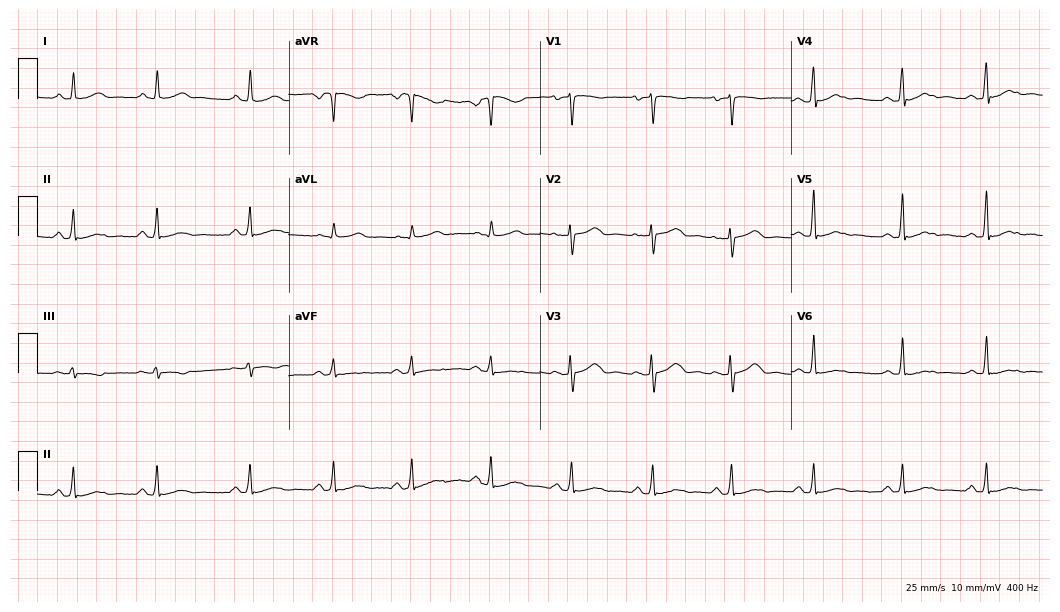
Standard 12-lead ECG recorded from a woman, 28 years old. Read as a normal ECG.